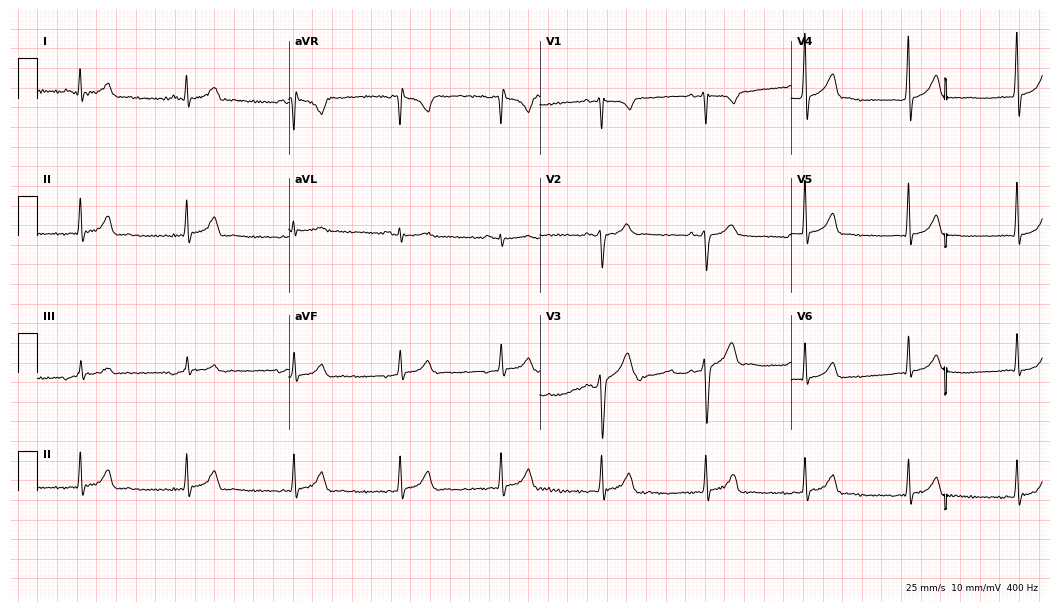
12-lead ECG from a 22-year-old male patient (10.2-second recording at 400 Hz). Recorded interpretation: within normal limits.